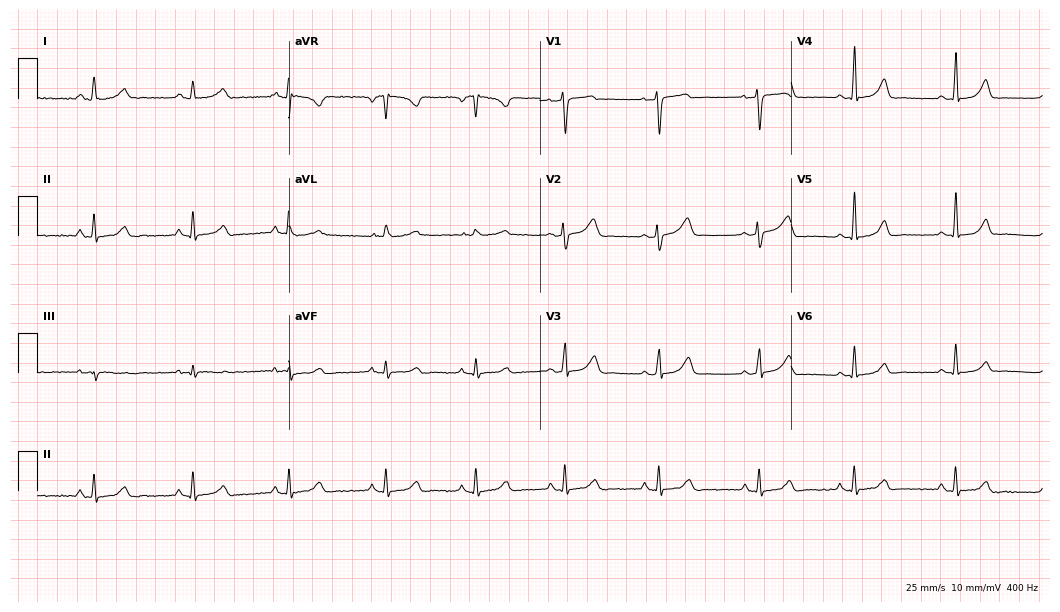
12-lead ECG from a female patient, 44 years old (10.2-second recording at 400 Hz). Recorded interpretation: within normal limits.